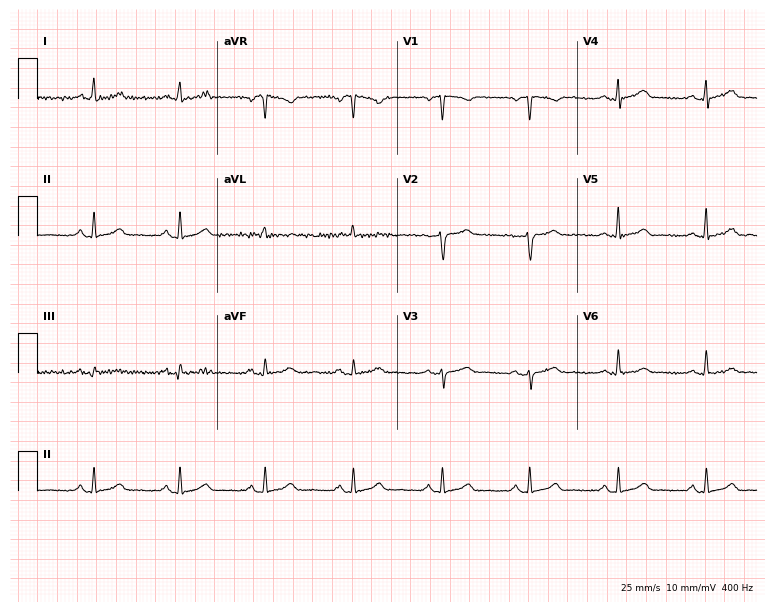
Standard 12-lead ECG recorded from a woman, 33 years old. Read as a normal ECG.